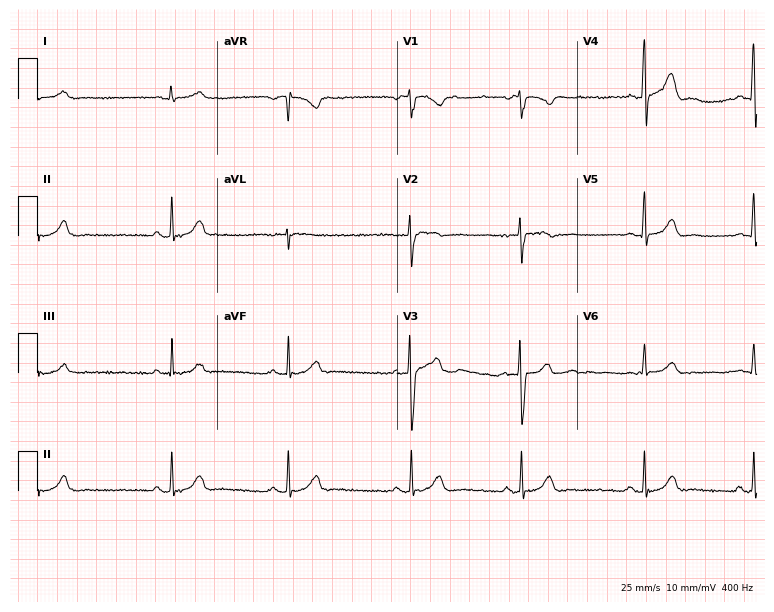
12-lead ECG from a male patient, 25 years old. No first-degree AV block, right bundle branch block, left bundle branch block, sinus bradycardia, atrial fibrillation or sinus tachycardia recorded for this tracing. Other findings, if any, are not listed.